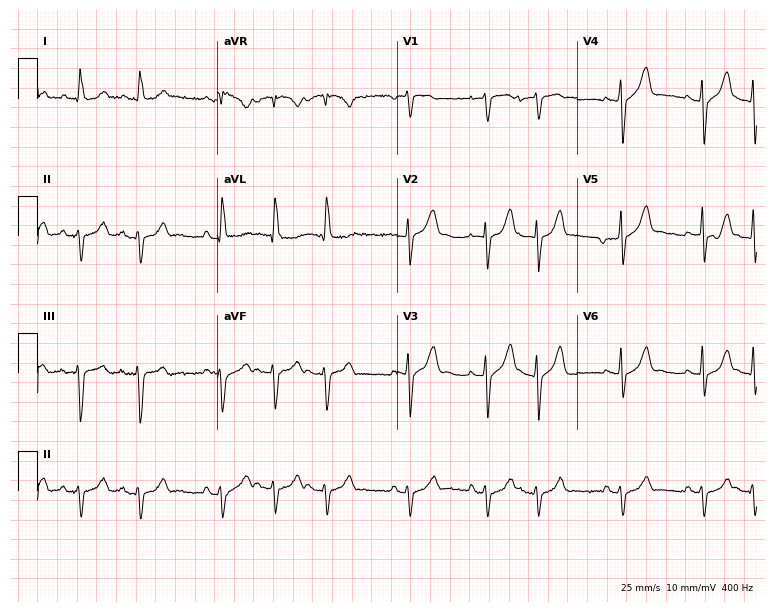
12-lead ECG from a 78-year-old male patient. Screened for six findings — first-degree AV block, right bundle branch block (RBBB), left bundle branch block (LBBB), sinus bradycardia, atrial fibrillation (AF), sinus tachycardia — none is recorded. Other findings, if any, are not listed.